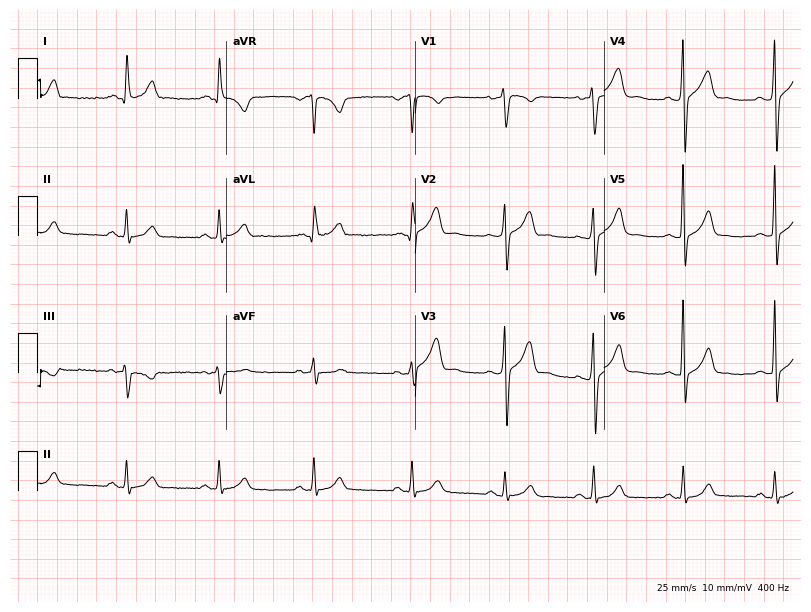
ECG (7.7-second recording at 400 Hz) — a male, 30 years old. Labelled as a normal ECG.